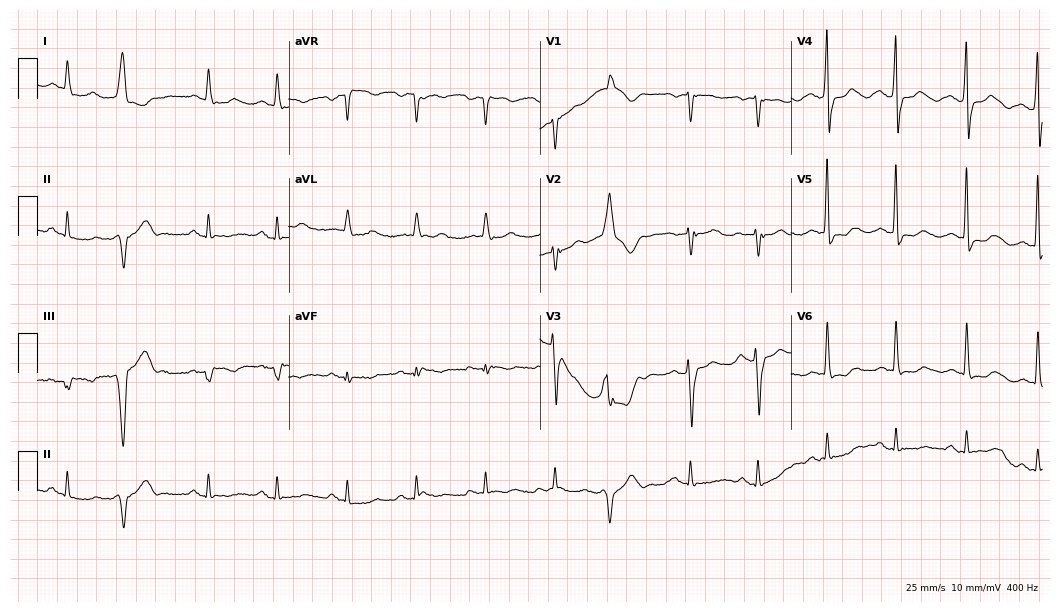
Electrocardiogram, a female, 69 years old. Of the six screened findings (first-degree AV block, right bundle branch block (RBBB), left bundle branch block (LBBB), sinus bradycardia, atrial fibrillation (AF), sinus tachycardia), none is recorded.